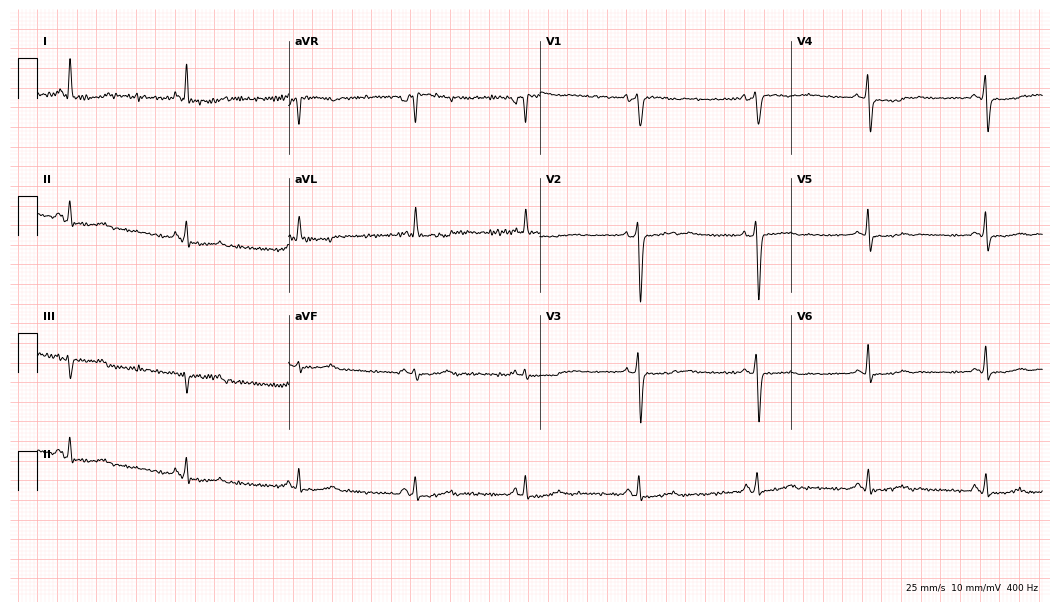
Resting 12-lead electrocardiogram. Patient: a female, 52 years old. None of these six findings is recorded: first-degree AV block, right bundle branch block, left bundle branch block, sinus bradycardia, atrial fibrillation, sinus tachycardia. Only these six findings were labelled.